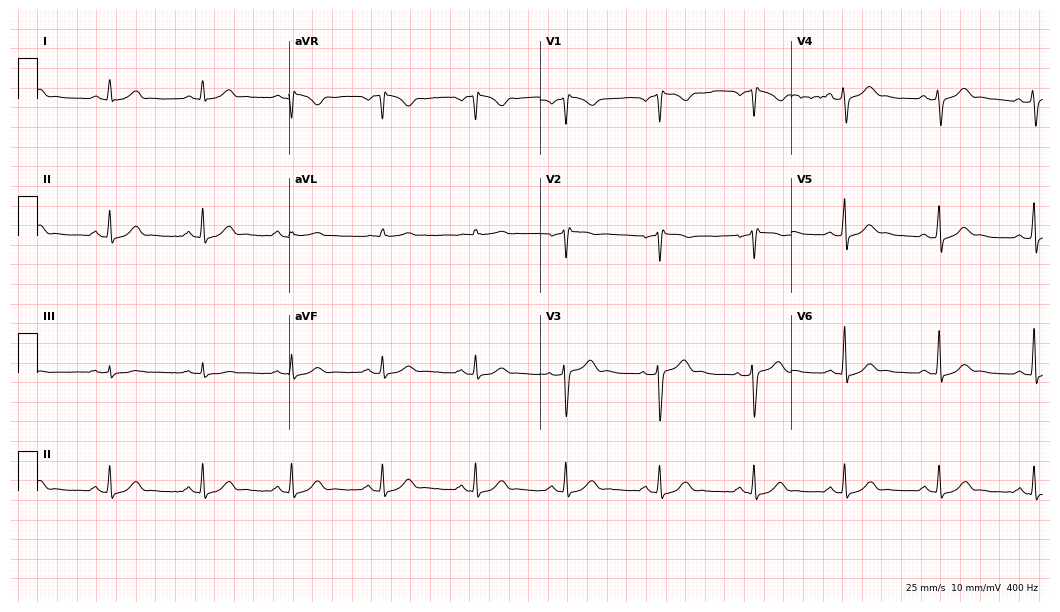
Resting 12-lead electrocardiogram (10.2-second recording at 400 Hz). Patient: a male, 47 years old. None of these six findings is recorded: first-degree AV block, right bundle branch block (RBBB), left bundle branch block (LBBB), sinus bradycardia, atrial fibrillation (AF), sinus tachycardia. Other findings, if any, are not listed.